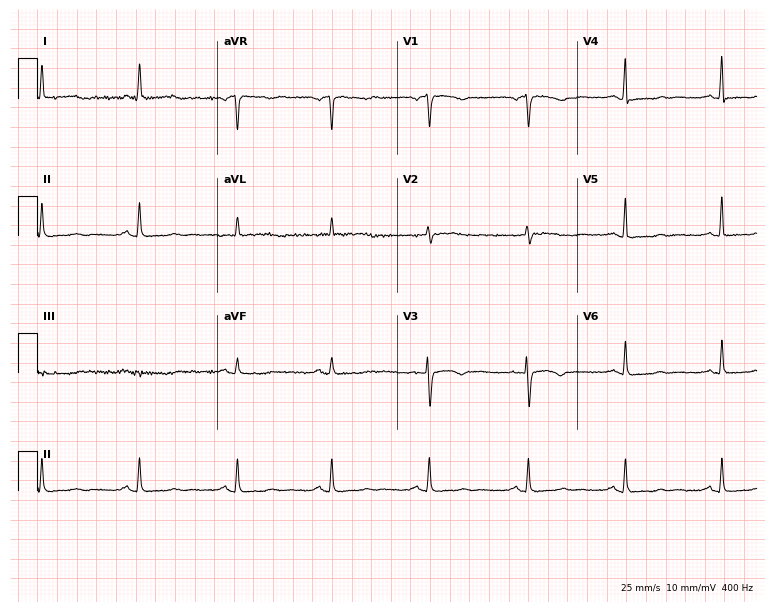
Resting 12-lead electrocardiogram. Patient: a woman, 53 years old. None of these six findings is recorded: first-degree AV block, right bundle branch block, left bundle branch block, sinus bradycardia, atrial fibrillation, sinus tachycardia.